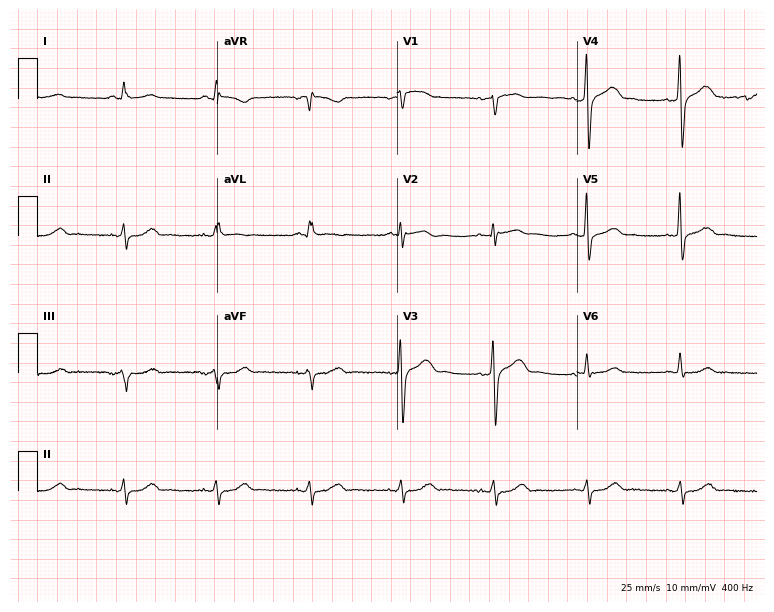
Electrocardiogram, a man, 63 years old. Of the six screened findings (first-degree AV block, right bundle branch block, left bundle branch block, sinus bradycardia, atrial fibrillation, sinus tachycardia), none is recorded. Other findings, if any, are not listed.